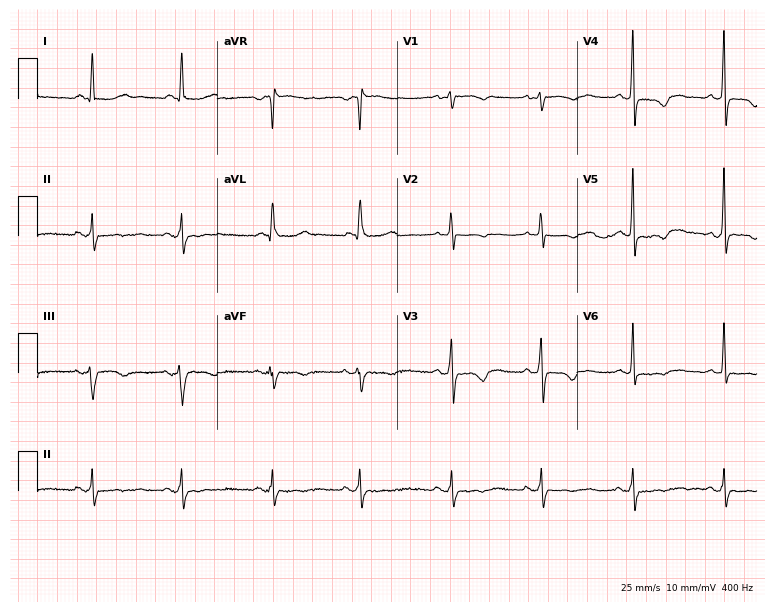
Electrocardiogram, a 67-year-old female patient. Of the six screened findings (first-degree AV block, right bundle branch block, left bundle branch block, sinus bradycardia, atrial fibrillation, sinus tachycardia), none is recorded.